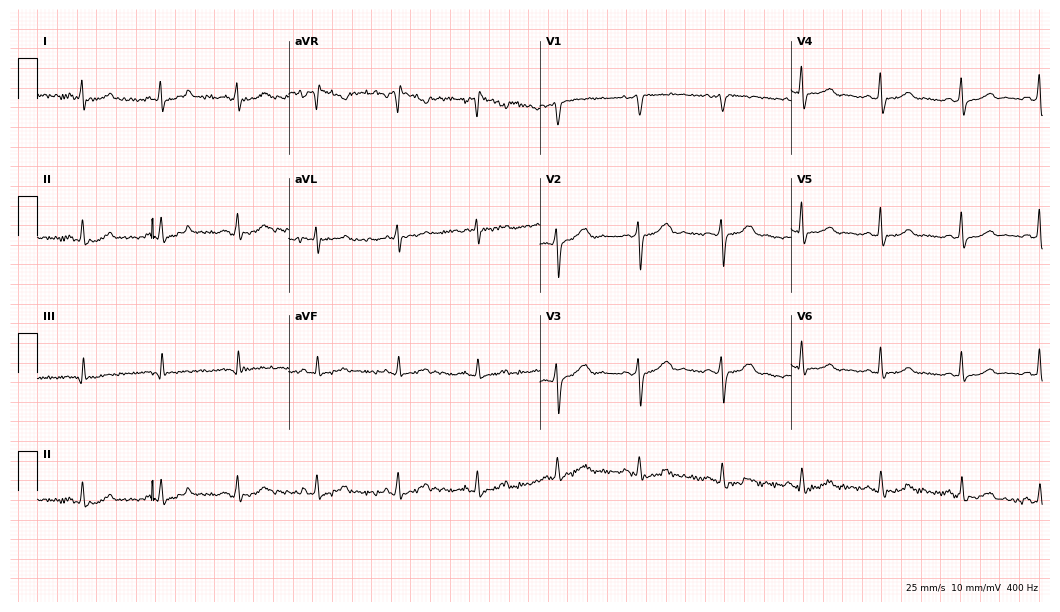
ECG (10.2-second recording at 400 Hz) — a 46-year-old female. Screened for six findings — first-degree AV block, right bundle branch block, left bundle branch block, sinus bradycardia, atrial fibrillation, sinus tachycardia — none is recorded. Only these six findings were labelled.